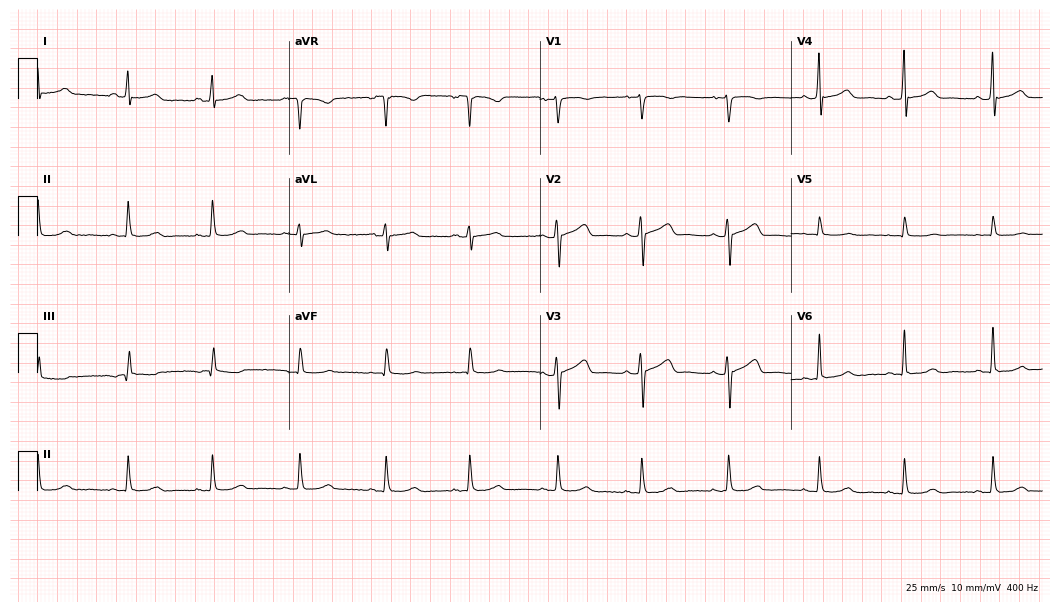
Electrocardiogram, a 37-year-old female patient. Overall reading on record: normal ECG.